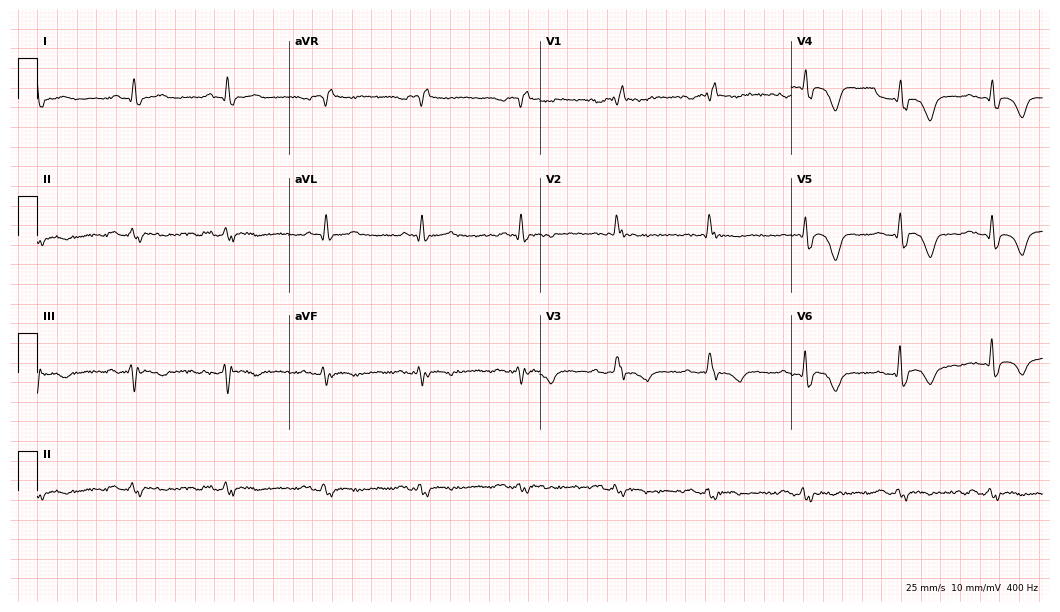
Standard 12-lead ECG recorded from a male, 84 years old. The tracing shows first-degree AV block, right bundle branch block (RBBB).